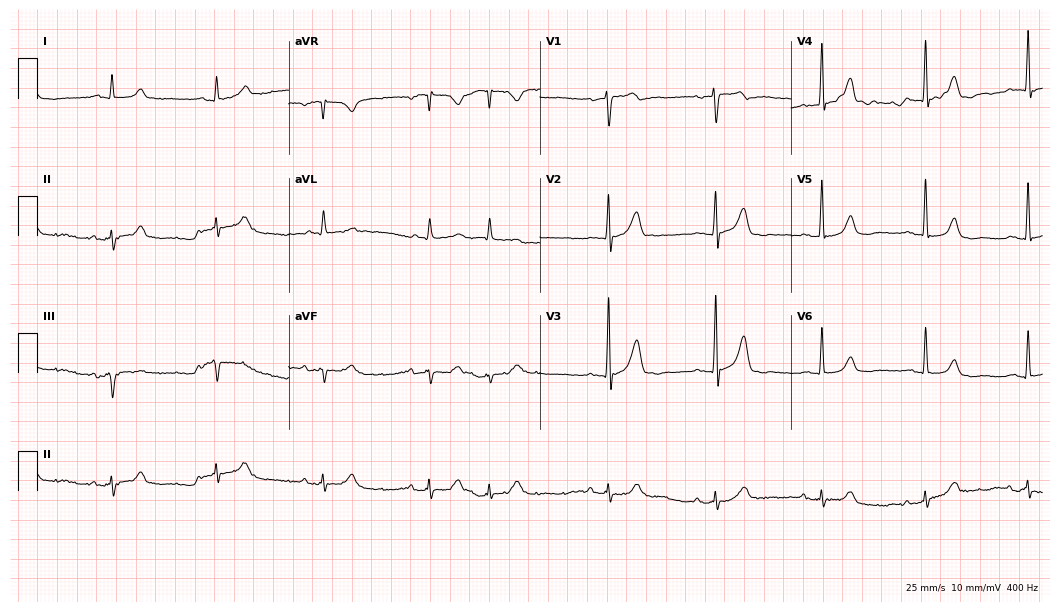
Standard 12-lead ECG recorded from an 83-year-old male patient (10.2-second recording at 400 Hz). None of these six findings is recorded: first-degree AV block, right bundle branch block, left bundle branch block, sinus bradycardia, atrial fibrillation, sinus tachycardia. Findings outside these six are not listed.